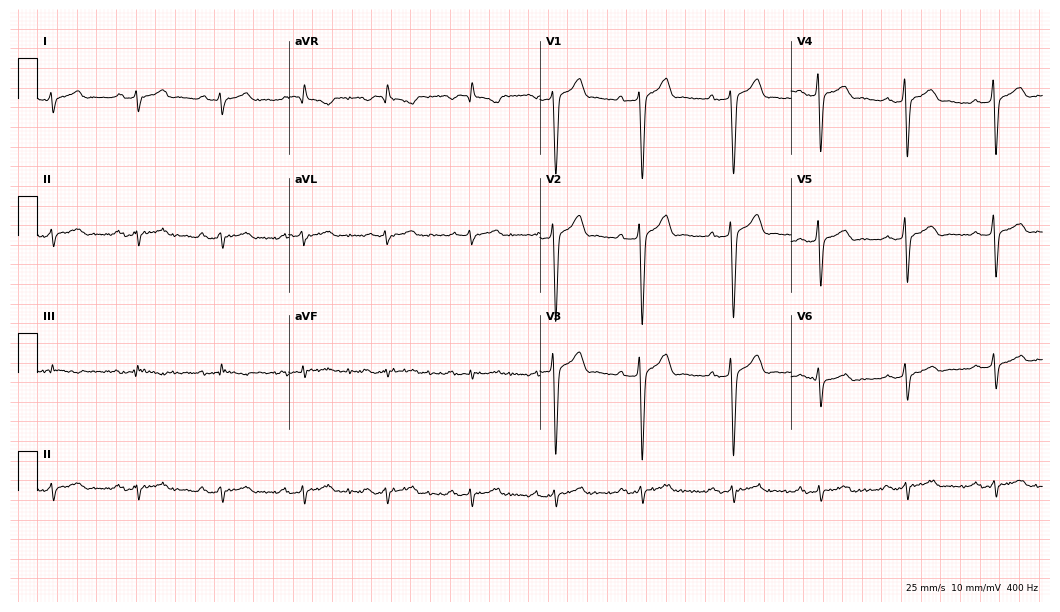
ECG (10.2-second recording at 400 Hz) — a man, 42 years old. Screened for six findings — first-degree AV block, right bundle branch block, left bundle branch block, sinus bradycardia, atrial fibrillation, sinus tachycardia — none is recorded.